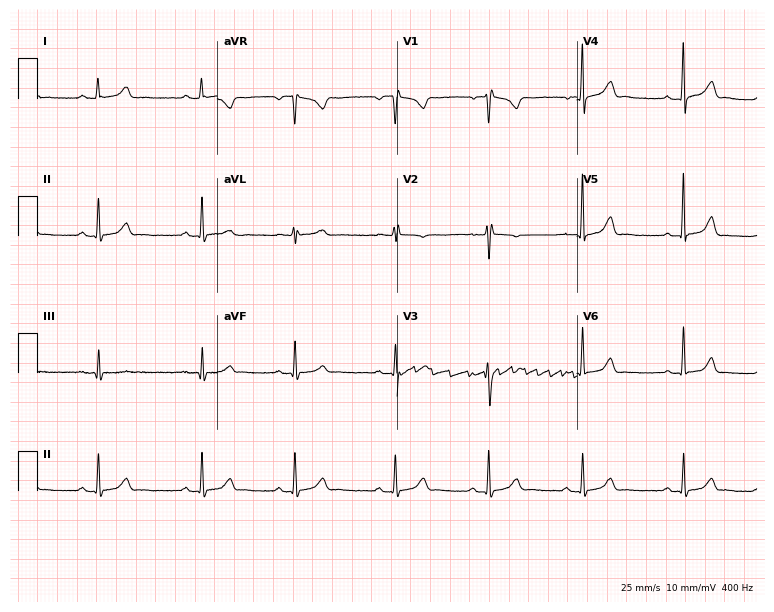
12-lead ECG from a 31-year-old female patient. Labelled as a normal ECG.